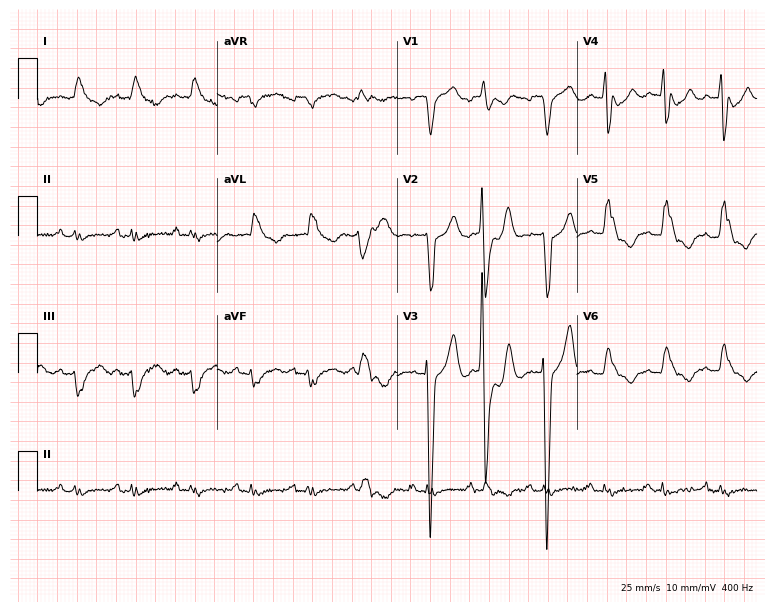
Electrocardiogram, an 82-year-old male patient. Interpretation includes left bundle branch block, sinus tachycardia (a sinus rate of 100 beats per minute or more).